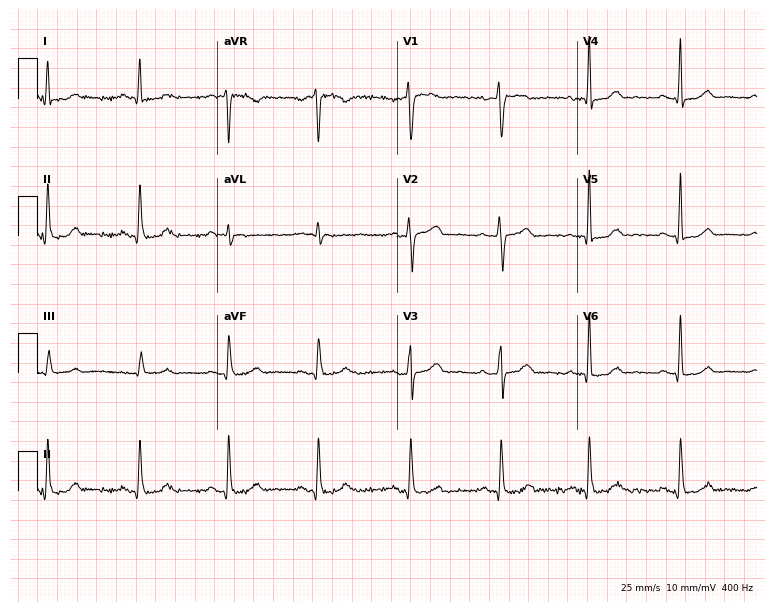
Electrocardiogram (7.3-second recording at 400 Hz), a female patient, 52 years old. Overall reading on record: normal ECG.